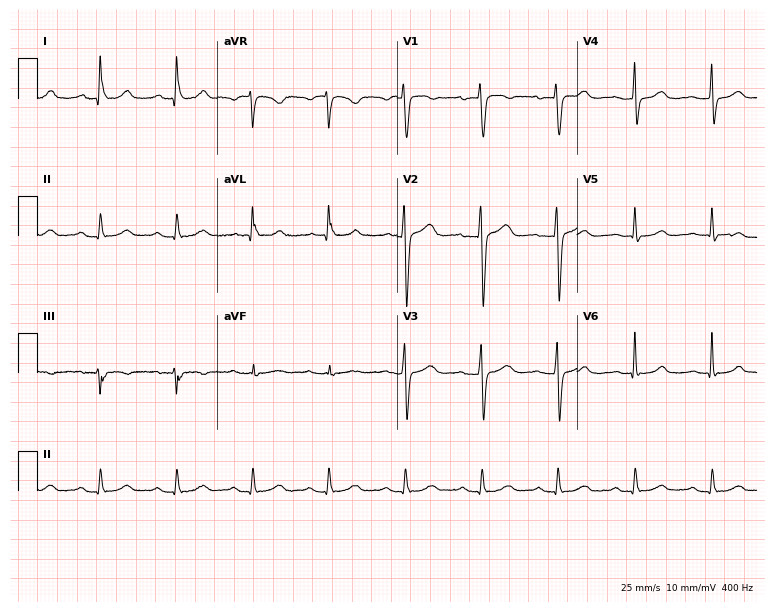
Electrocardiogram, a woman, 43 years old. Interpretation includes first-degree AV block.